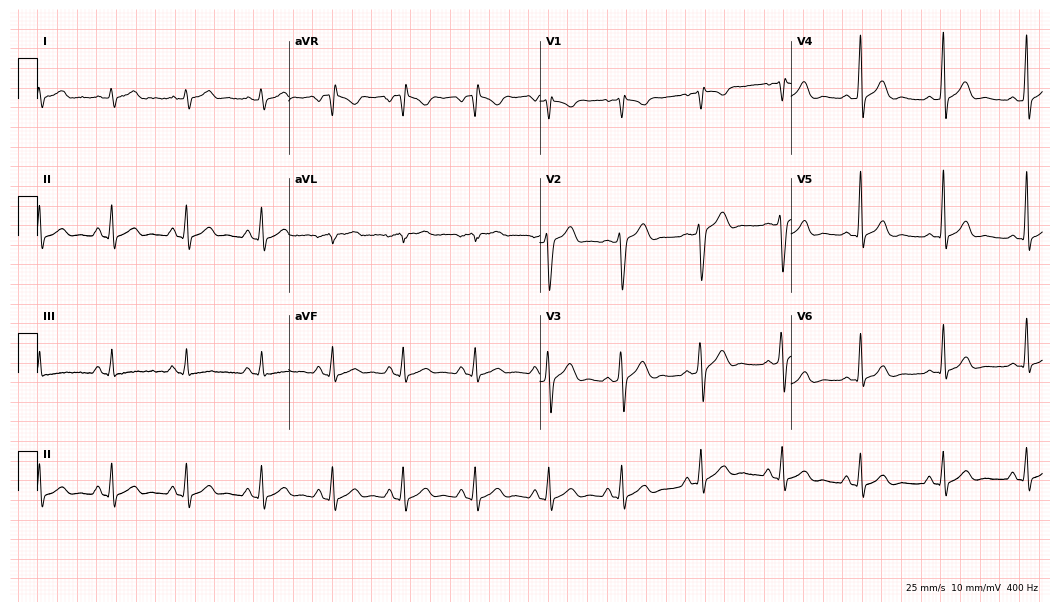
Standard 12-lead ECG recorded from a 21-year-old male. None of these six findings is recorded: first-degree AV block, right bundle branch block, left bundle branch block, sinus bradycardia, atrial fibrillation, sinus tachycardia.